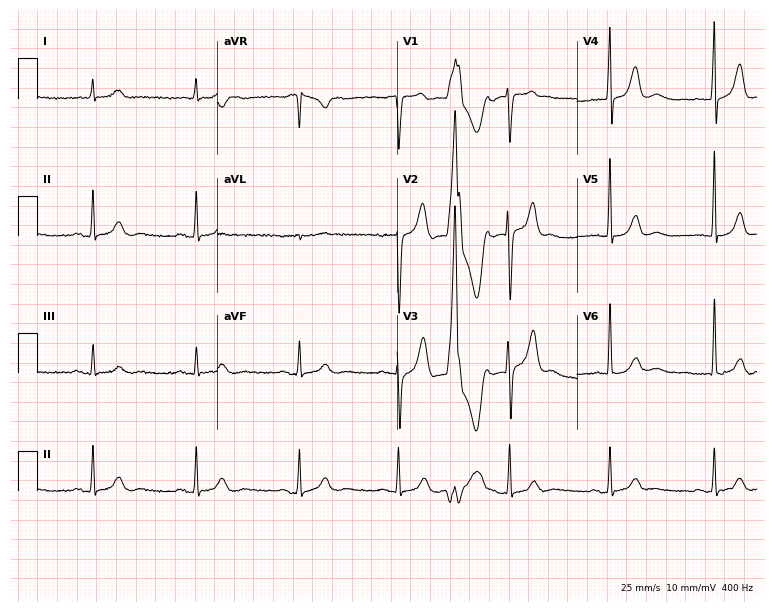
Resting 12-lead electrocardiogram. Patient: a 72-year-old male. None of these six findings is recorded: first-degree AV block, right bundle branch block (RBBB), left bundle branch block (LBBB), sinus bradycardia, atrial fibrillation (AF), sinus tachycardia. Other findings, if any, are not listed.